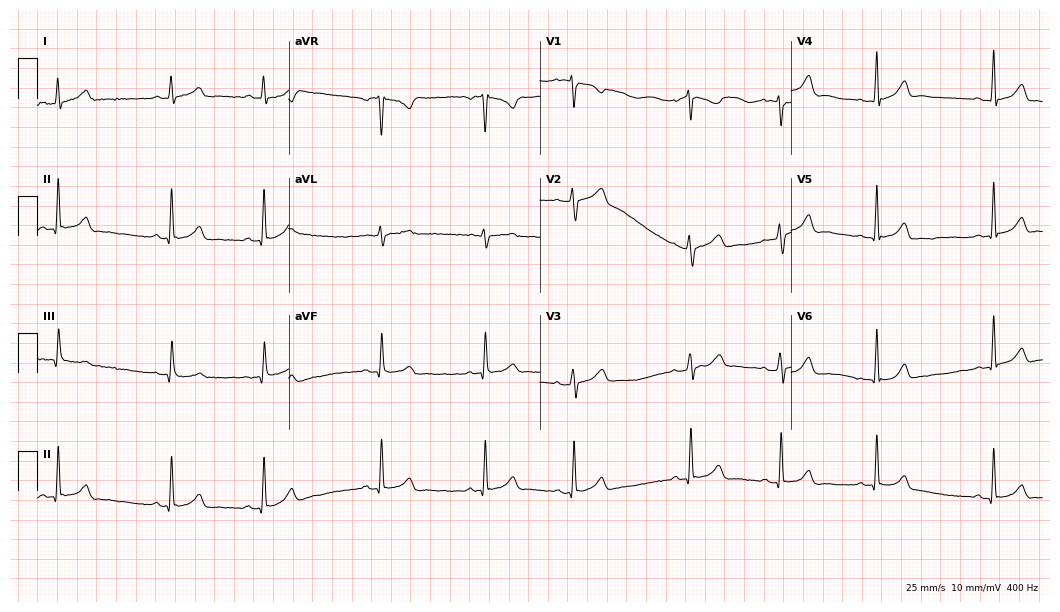
ECG — a female patient, 20 years old. Screened for six findings — first-degree AV block, right bundle branch block, left bundle branch block, sinus bradycardia, atrial fibrillation, sinus tachycardia — none is recorded. Findings outside these six are not listed.